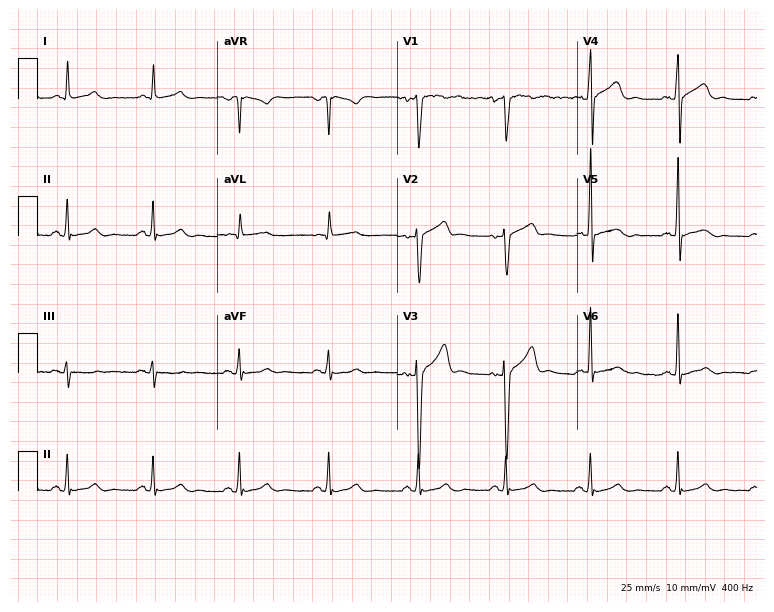
Resting 12-lead electrocardiogram. Patient: a 49-year-old male. None of these six findings is recorded: first-degree AV block, right bundle branch block, left bundle branch block, sinus bradycardia, atrial fibrillation, sinus tachycardia. Findings outside these six are not listed.